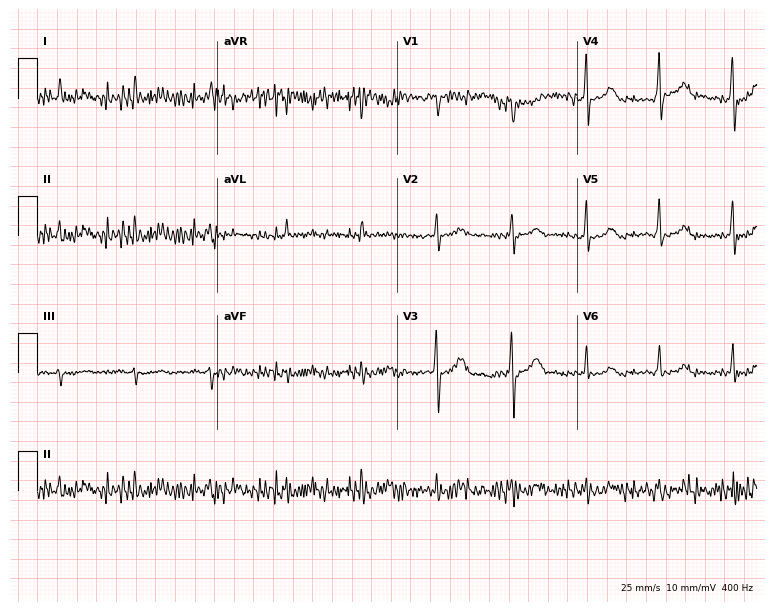
Electrocardiogram (7.3-second recording at 400 Hz), a man, 83 years old. Of the six screened findings (first-degree AV block, right bundle branch block, left bundle branch block, sinus bradycardia, atrial fibrillation, sinus tachycardia), none is recorded.